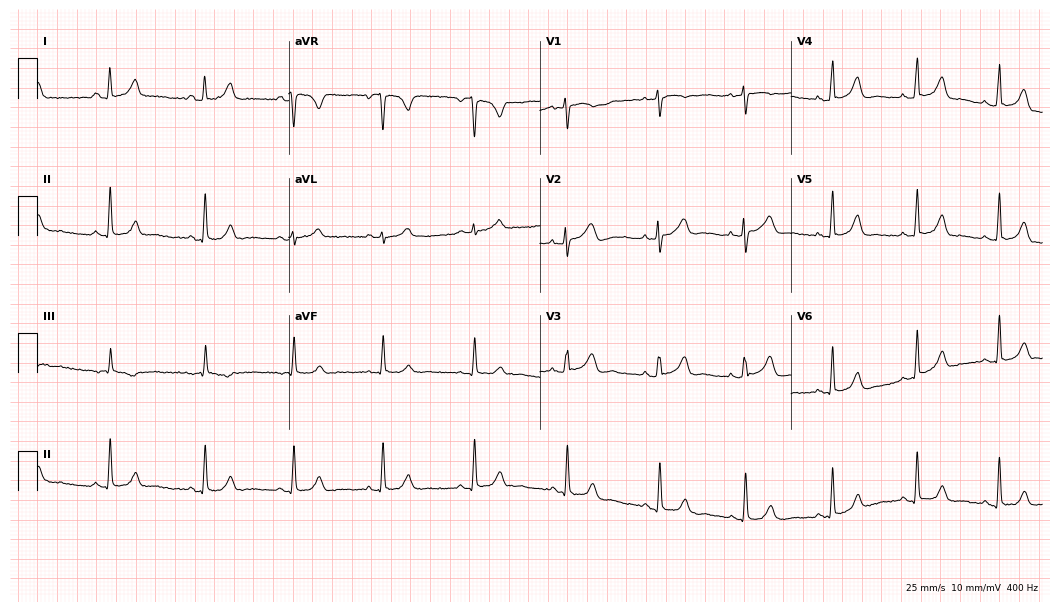
12-lead ECG (10.2-second recording at 400 Hz) from a 43-year-old female. Labelled as a normal ECG.